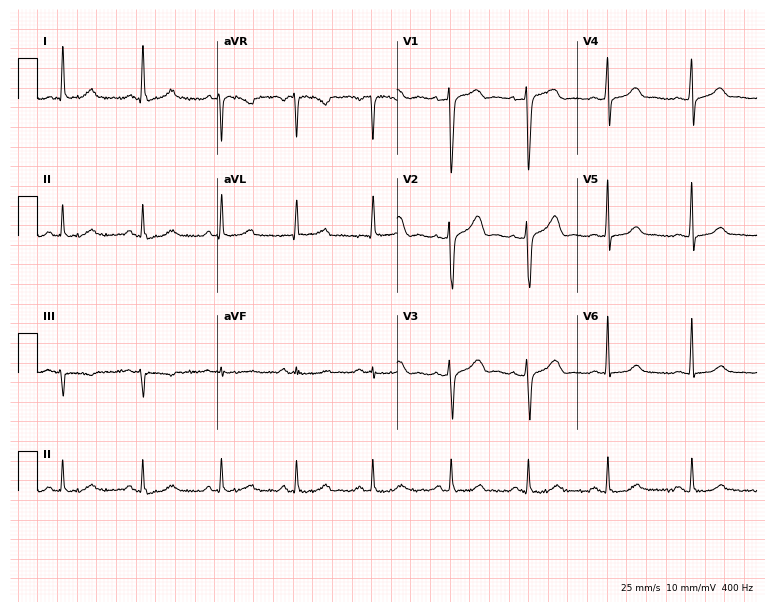
ECG — a woman, 41 years old. Labelled as a normal ECG.